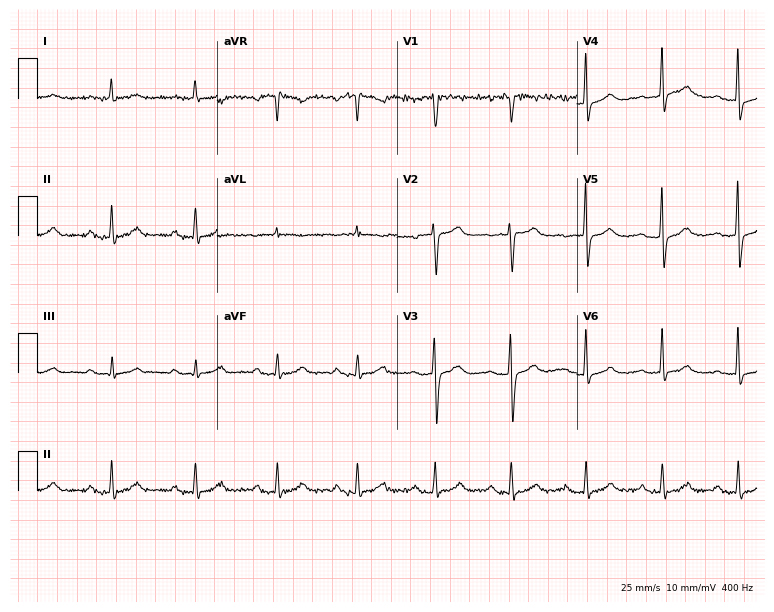
Standard 12-lead ECG recorded from a 53-year-old female. The tracing shows first-degree AV block.